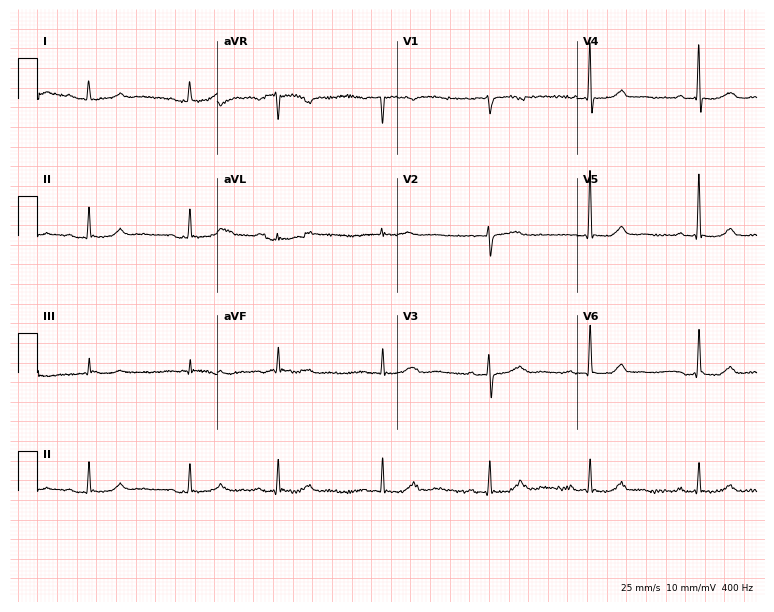
12-lead ECG from a man, 87 years old (7.3-second recording at 400 Hz). Recorded interpretation: within normal limits.